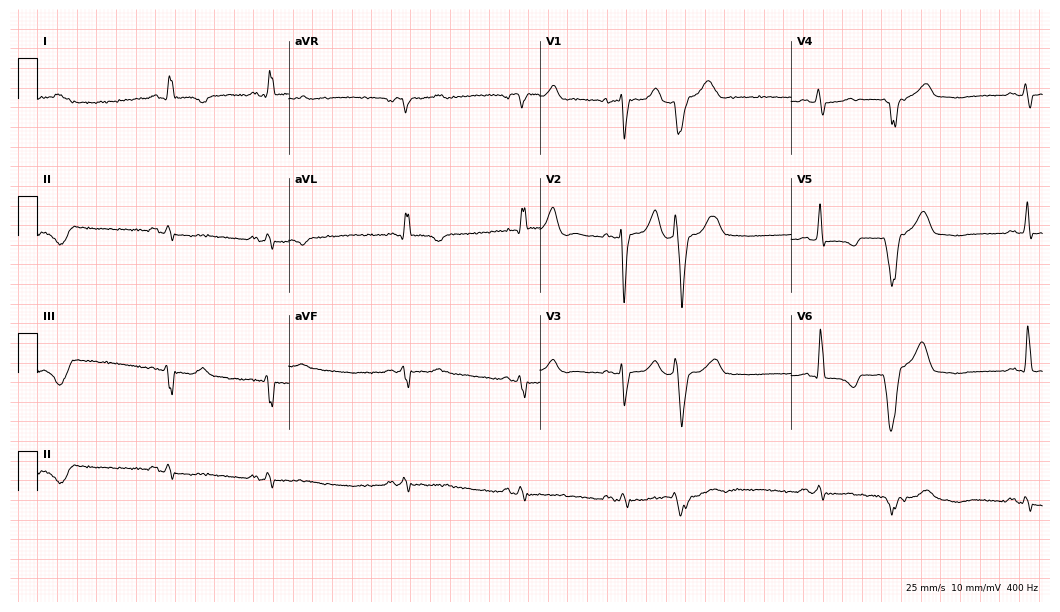
Resting 12-lead electrocardiogram. Patient: a male, 66 years old. None of these six findings is recorded: first-degree AV block, right bundle branch block, left bundle branch block, sinus bradycardia, atrial fibrillation, sinus tachycardia.